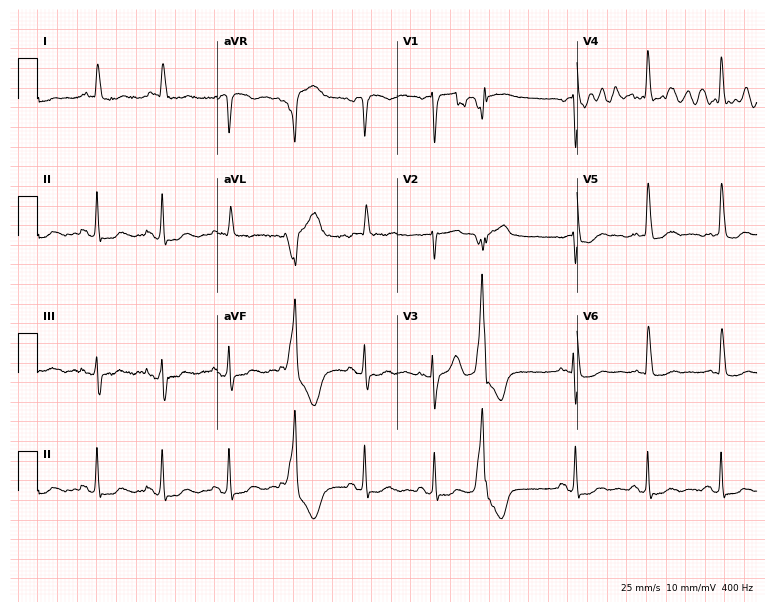
Electrocardiogram (7.3-second recording at 400 Hz), an 81-year-old male. Of the six screened findings (first-degree AV block, right bundle branch block, left bundle branch block, sinus bradycardia, atrial fibrillation, sinus tachycardia), none is recorded. Only these six findings were labelled.